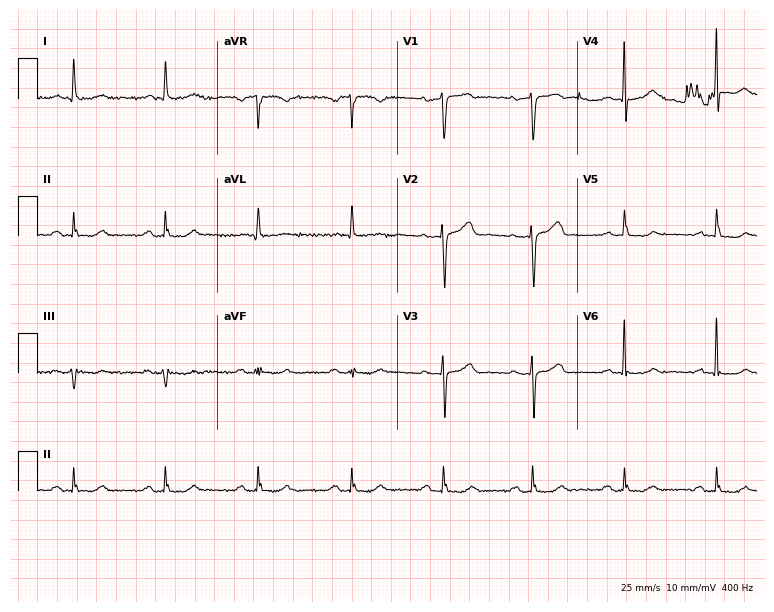
12-lead ECG from a female patient, 72 years old. No first-degree AV block, right bundle branch block (RBBB), left bundle branch block (LBBB), sinus bradycardia, atrial fibrillation (AF) or sinus tachycardia recorded for this tracing.